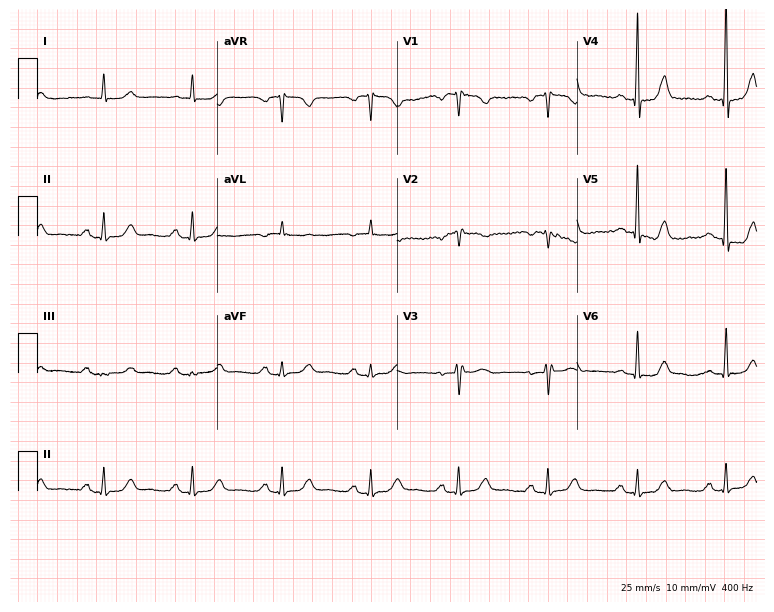
Electrocardiogram (7.3-second recording at 400 Hz), a female patient, 82 years old. Overall reading on record: normal ECG.